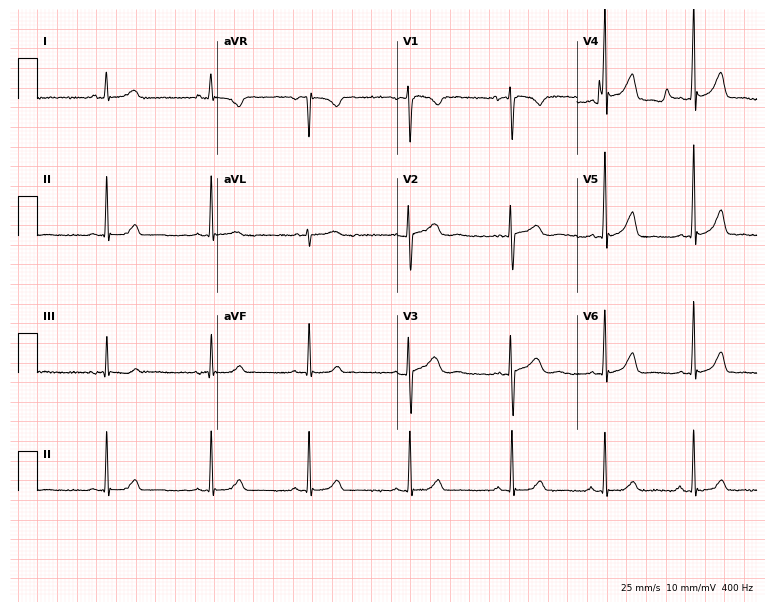
12-lead ECG from a female, 18 years old. Labelled as a normal ECG.